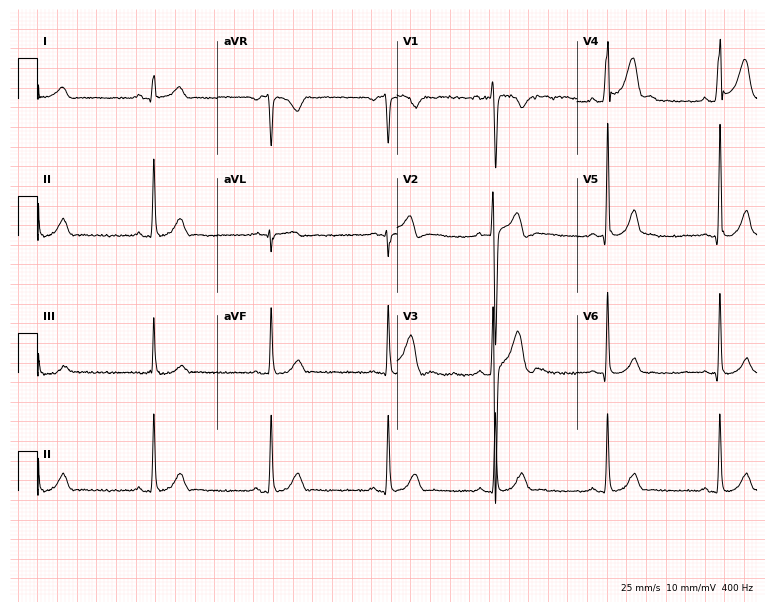
12-lead ECG from a man, 24 years old (7.3-second recording at 400 Hz). No first-degree AV block, right bundle branch block, left bundle branch block, sinus bradycardia, atrial fibrillation or sinus tachycardia recorded for this tracing. Only these six findings were labelled.